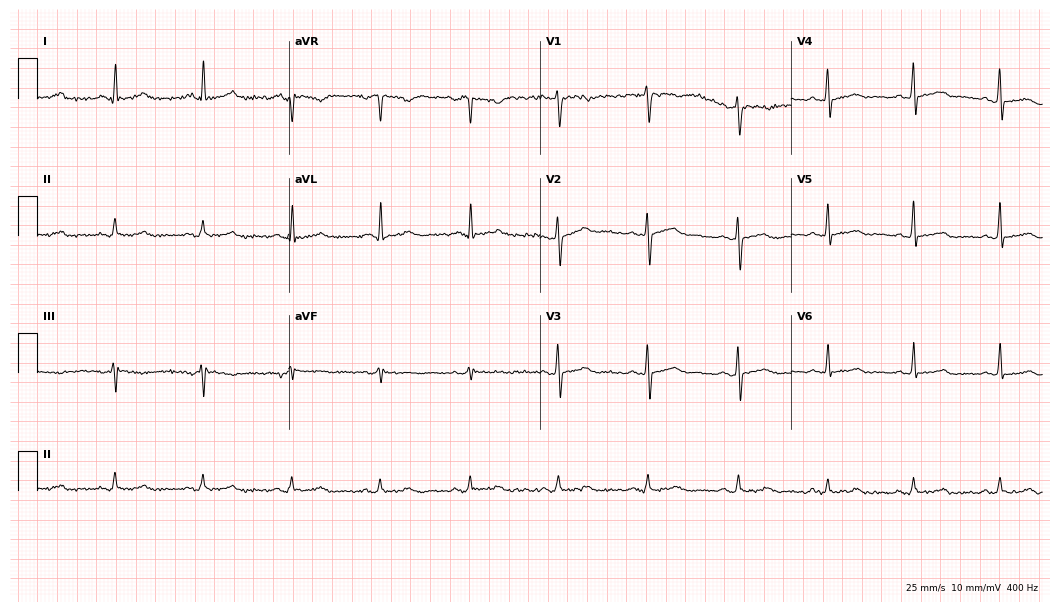
Electrocardiogram (10.2-second recording at 400 Hz), a female, 32 years old. Overall reading on record: normal ECG.